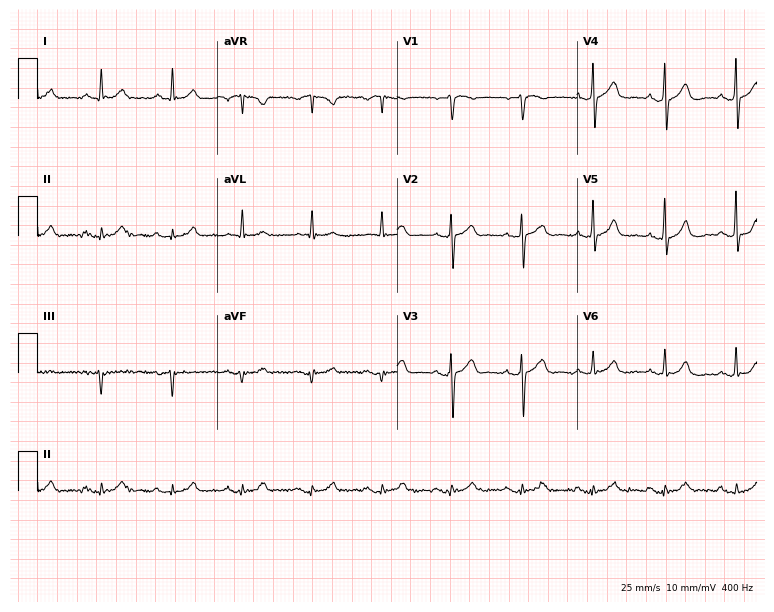
Standard 12-lead ECG recorded from a 77-year-old man (7.3-second recording at 400 Hz). Read as a normal ECG.